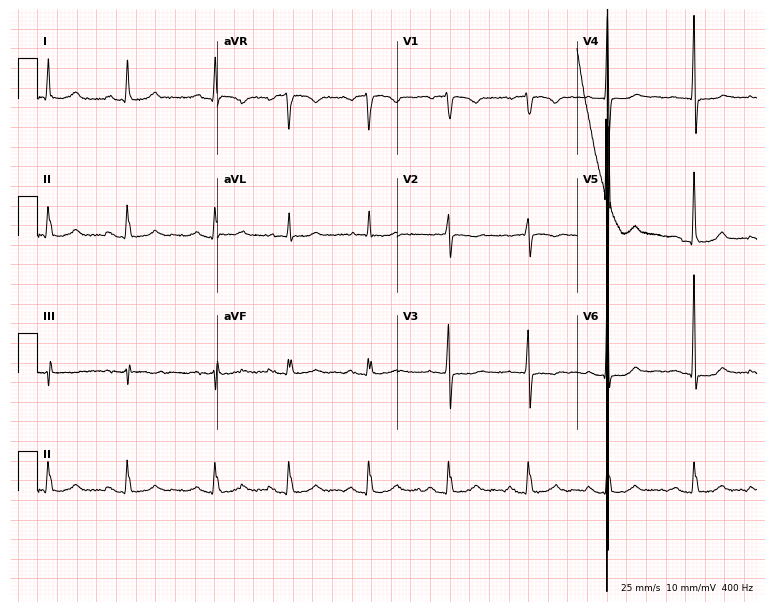
Standard 12-lead ECG recorded from a 74-year-old female patient (7.3-second recording at 400 Hz). None of these six findings is recorded: first-degree AV block, right bundle branch block (RBBB), left bundle branch block (LBBB), sinus bradycardia, atrial fibrillation (AF), sinus tachycardia.